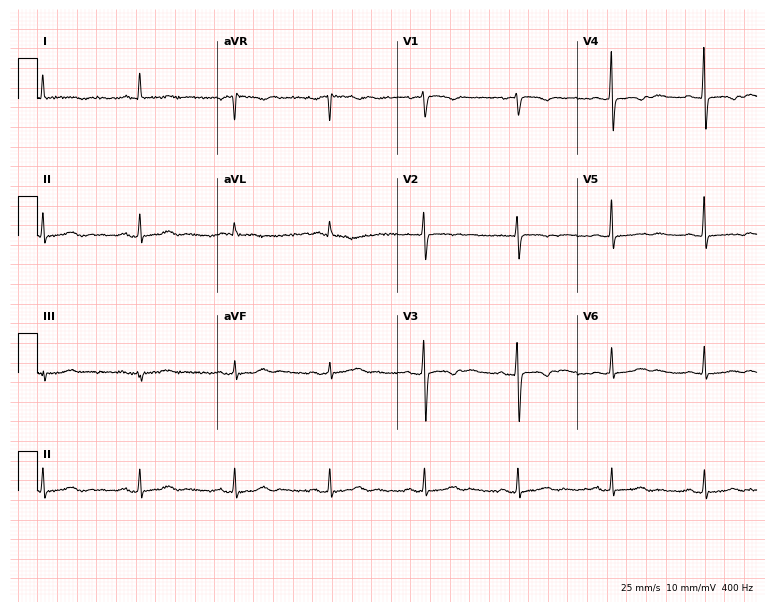
Resting 12-lead electrocardiogram (7.3-second recording at 400 Hz). Patient: a 79-year-old woman. None of these six findings is recorded: first-degree AV block, right bundle branch block, left bundle branch block, sinus bradycardia, atrial fibrillation, sinus tachycardia. Only these six findings were labelled.